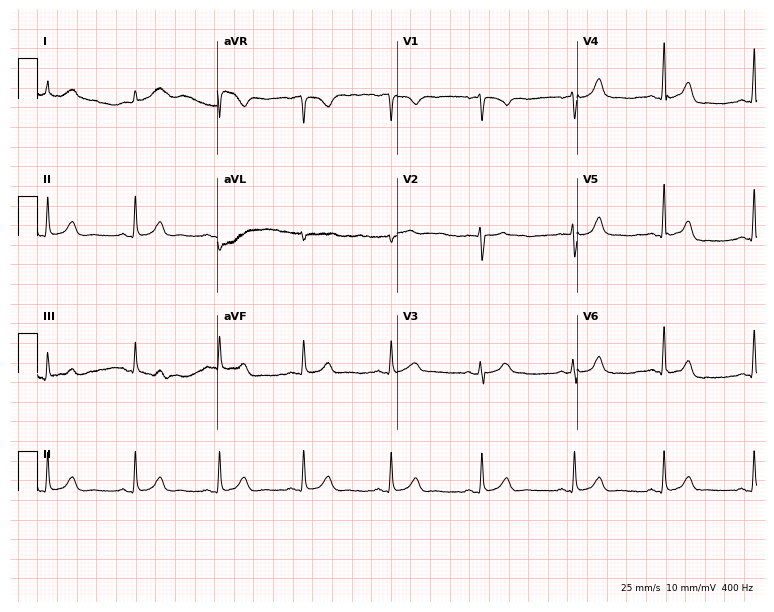
ECG — a female patient, 40 years old. Screened for six findings — first-degree AV block, right bundle branch block, left bundle branch block, sinus bradycardia, atrial fibrillation, sinus tachycardia — none is recorded. Findings outside these six are not listed.